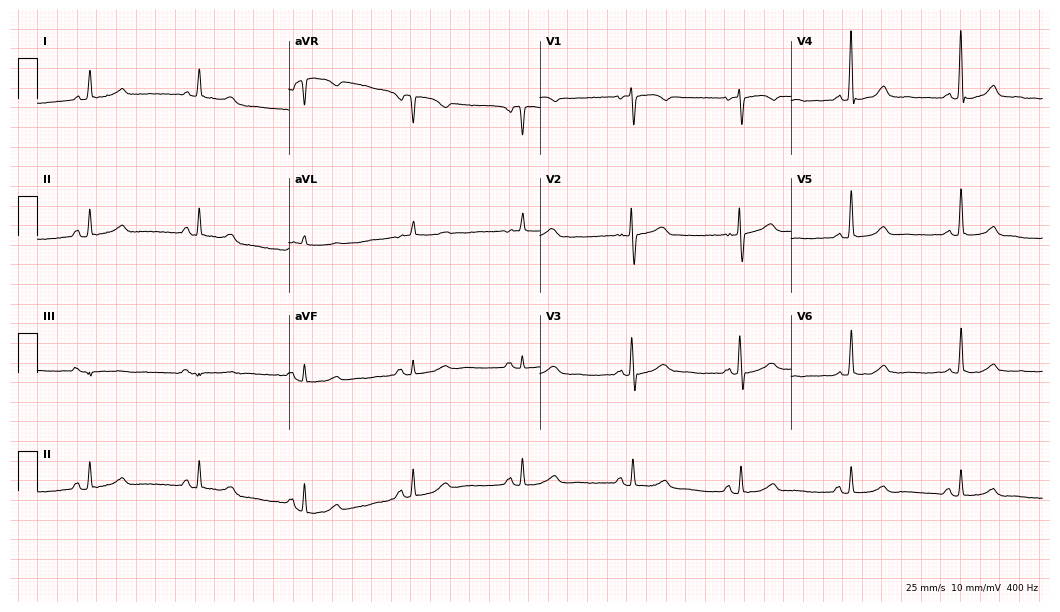
12-lead ECG from a woman, 74 years old. Labelled as a normal ECG.